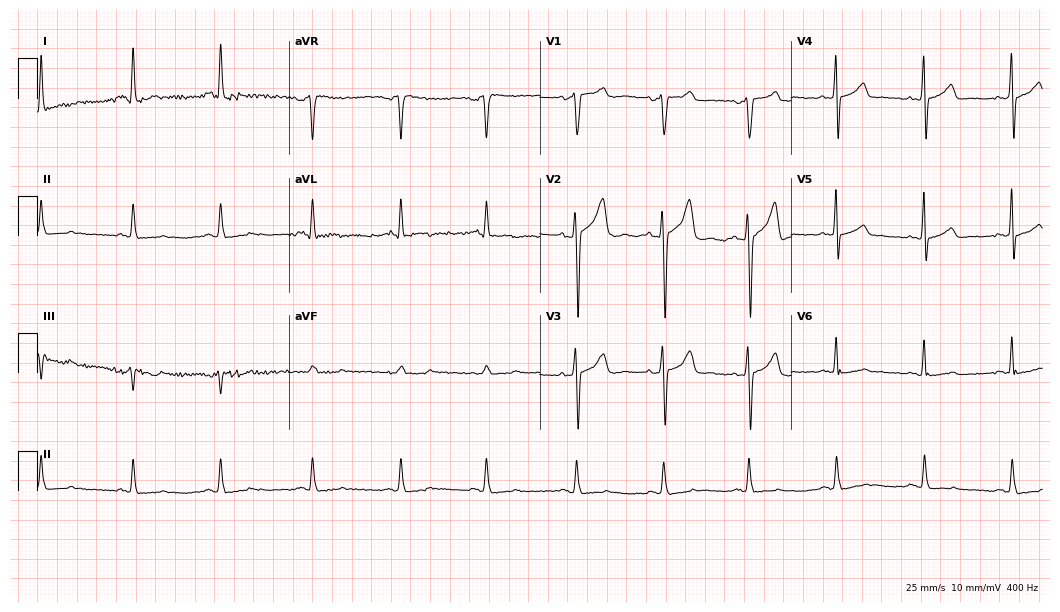
Standard 12-lead ECG recorded from a 30-year-old woman. Read as a normal ECG.